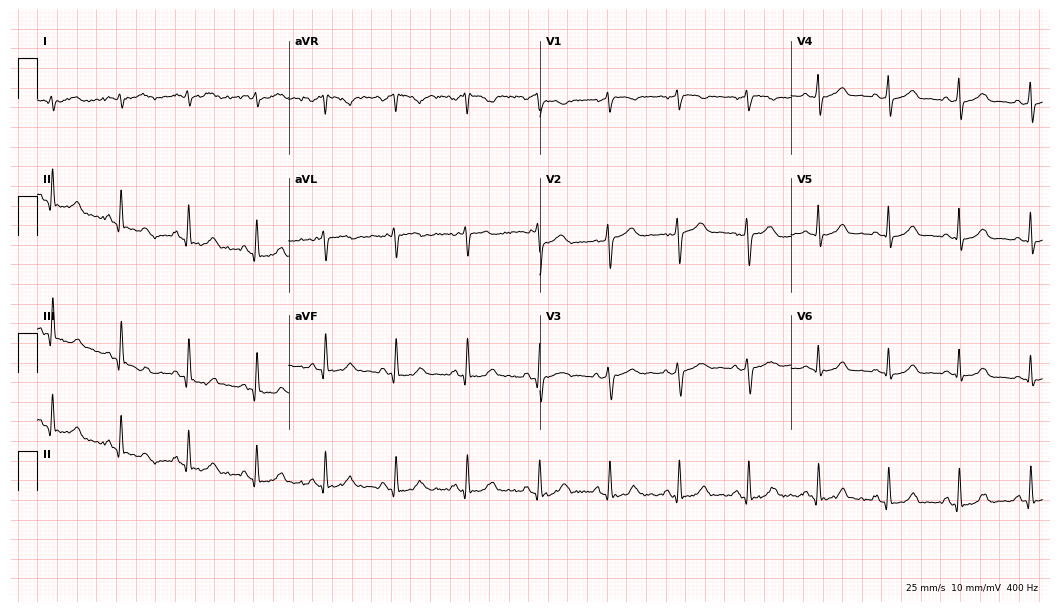
Standard 12-lead ECG recorded from a 49-year-old woman. Read as a normal ECG.